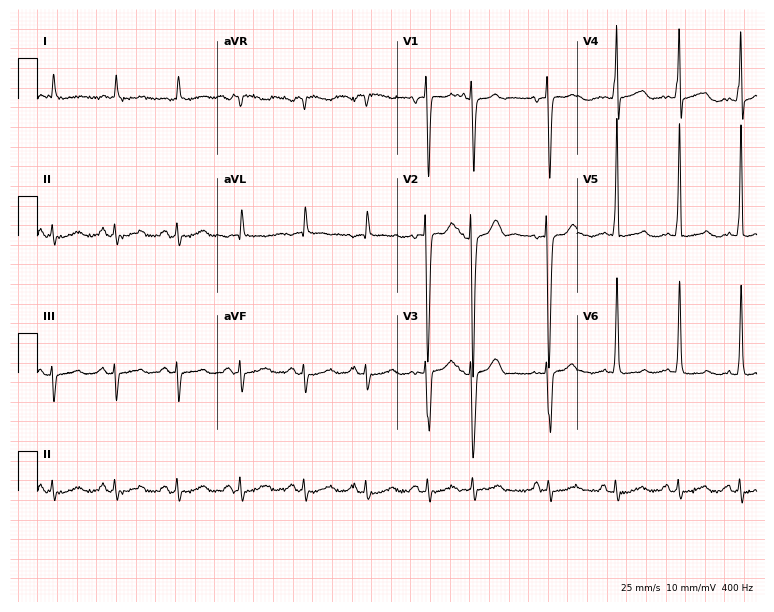
12-lead ECG from a male, 80 years old. No first-degree AV block, right bundle branch block (RBBB), left bundle branch block (LBBB), sinus bradycardia, atrial fibrillation (AF) or sinus tachycardia recorded for this tracing.